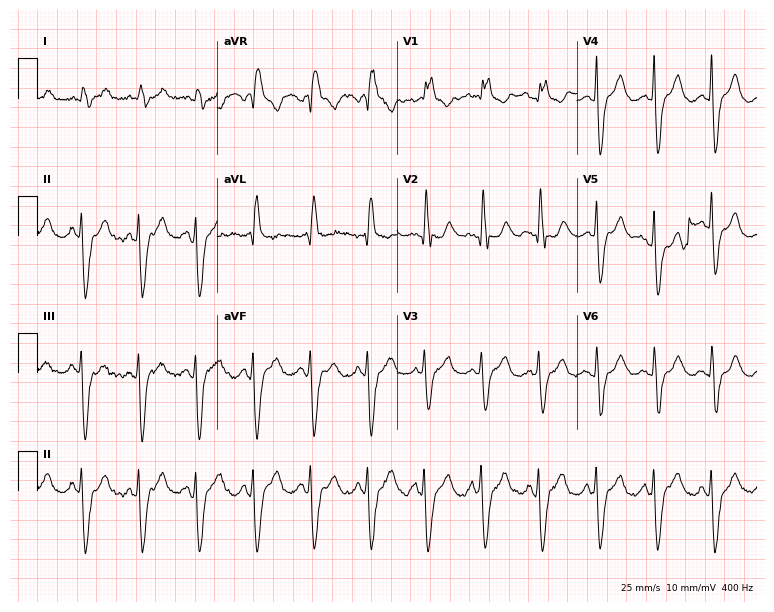
12-lead ECG (7.3-second recording at 400 Hz) from a female, 71 years old. Findings include right bundle branch block (RBBB), sinus tachycardia (a sinus rate of 100 beats per minute or more).